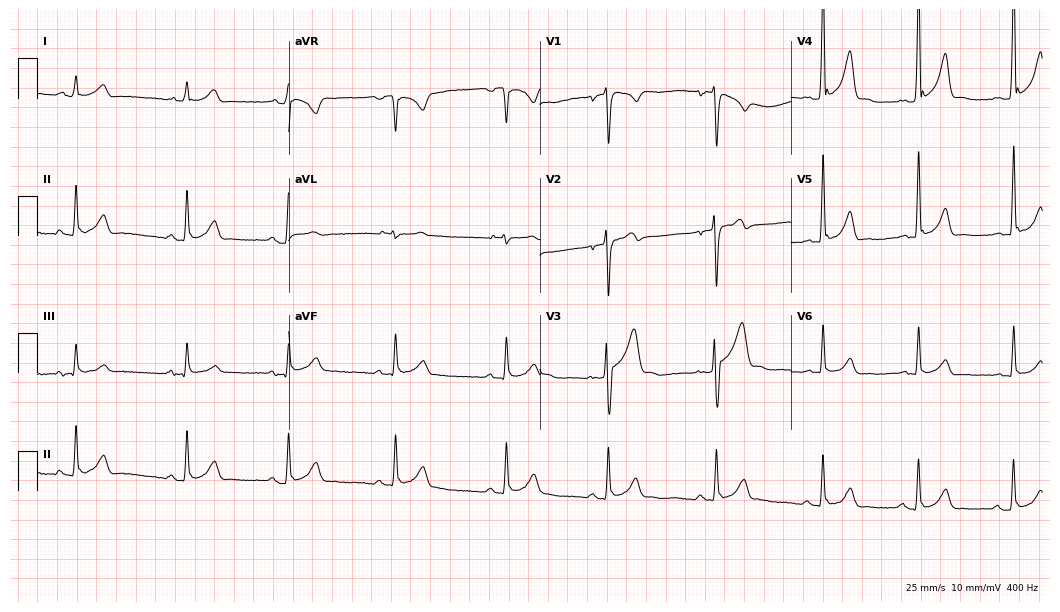
Standard 12-lead ECG recorded from an 18-year-old man (10.2-second recording at 400 Hz). Read as a normal ECG.